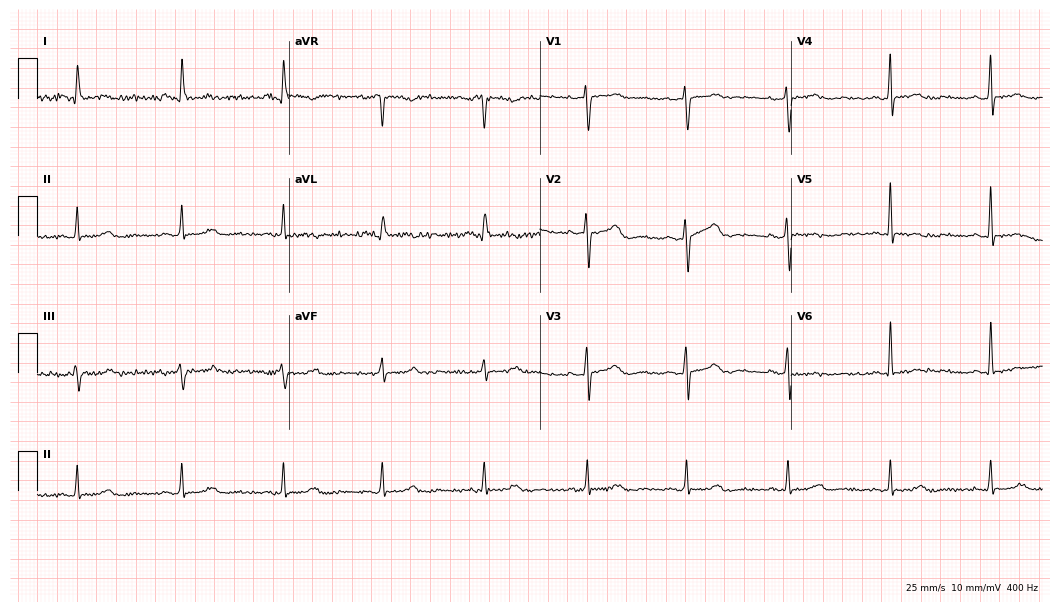
Standard 12-lead ECG recorded from a female, 54 years old (10.2-second recording at 400 Hz). None of these six findings is recorded: first-degree AV block, right bundle branch block, left bundle branch block, sinus bradycardia, atrial fibrillation, sinus tachycardia.